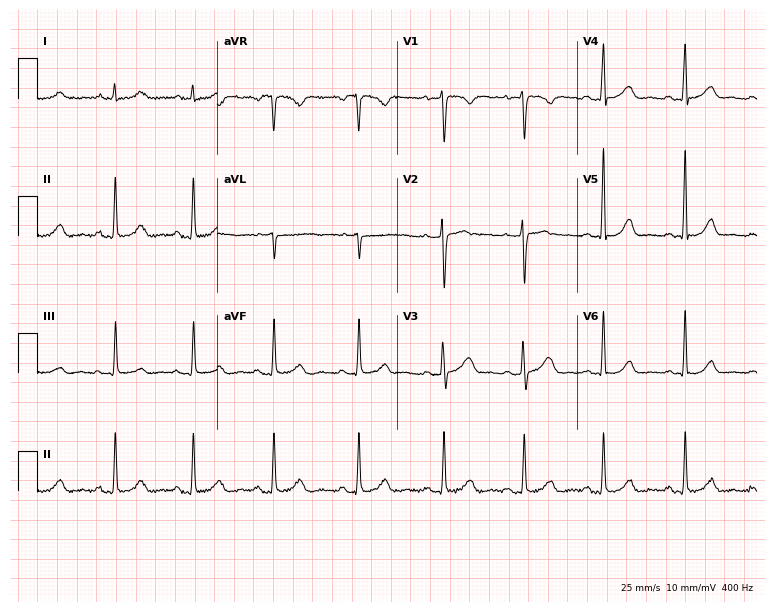
12-lead ECG (7.3-second recording at 400 Hz) from a female patient, 35 years old. Labelled as a normal ECG.